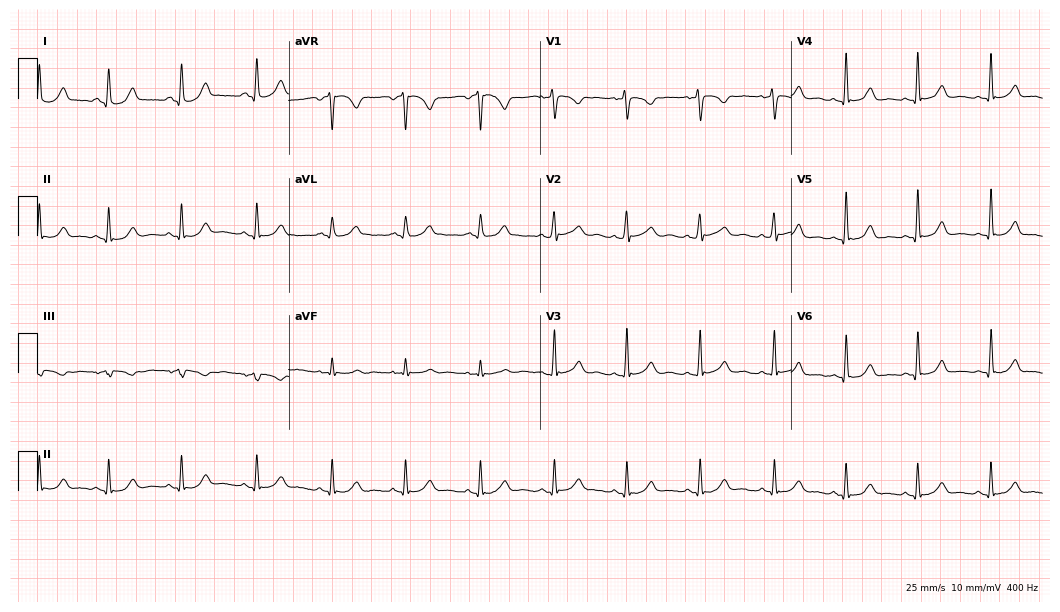
Standard 12-lead ECG recorded from a woman, 27 years old. Read as a normal ECG.